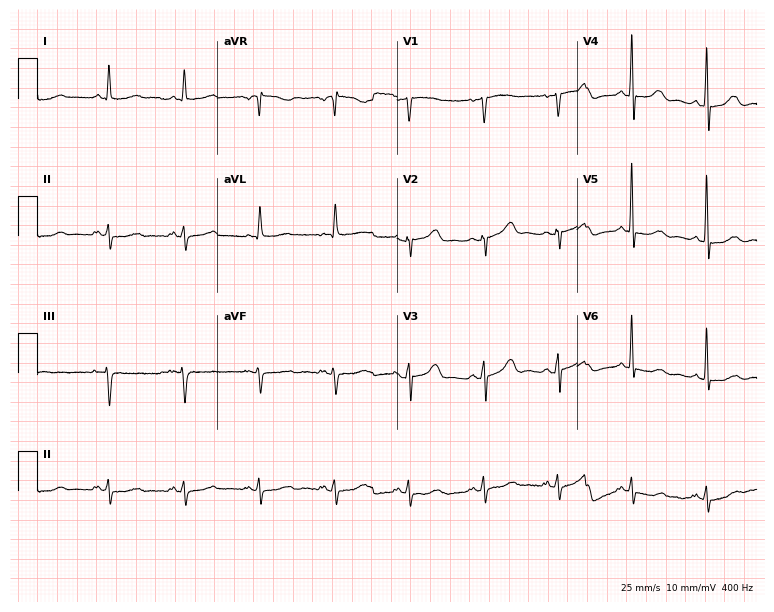
ECG — an 81-year-old female patient. Screened for six findings — first-degree AV block, right bundle branch block, left bundle branch block, sinus bradycardia, atrial fibrillation, sinus tachycardia — none is recorded. Other findings, if any, are not listed.